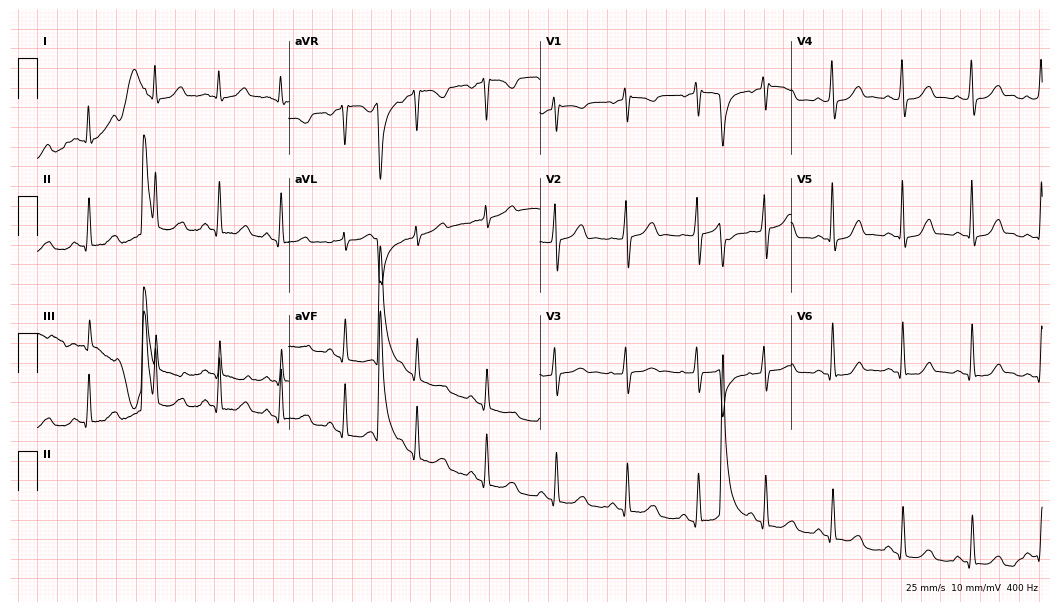
Standard 12-lead ECG recorded from a 38-year-old female patient. None of these six findings is recorded: first-degree AV block, right bundle branch block (RBBB), left bundle branch block (LBBB), sinus bradycardia, atrial fibrillation (AF), sinus tachycardia.